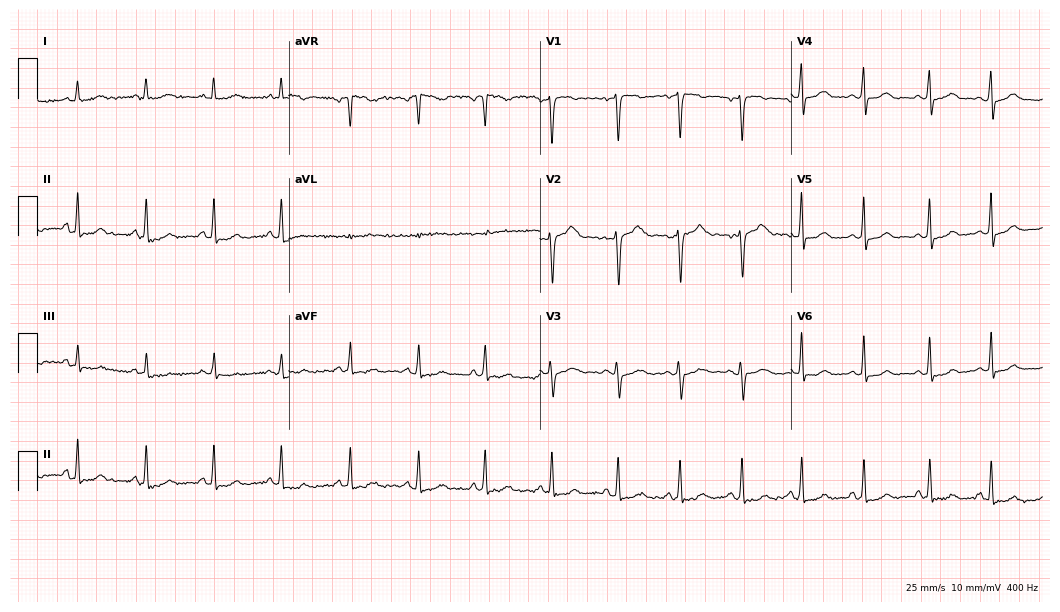
ECG (10.2-second recording at 400 Hz) — a 34-year-old female. Screened for six findings — first-degree AV block, right bundle branch block, left bundle branch block, sinus bradycardia, atrial fibrillation, sinus tachycardia — none is recorded. Findings outside these six are not listed.